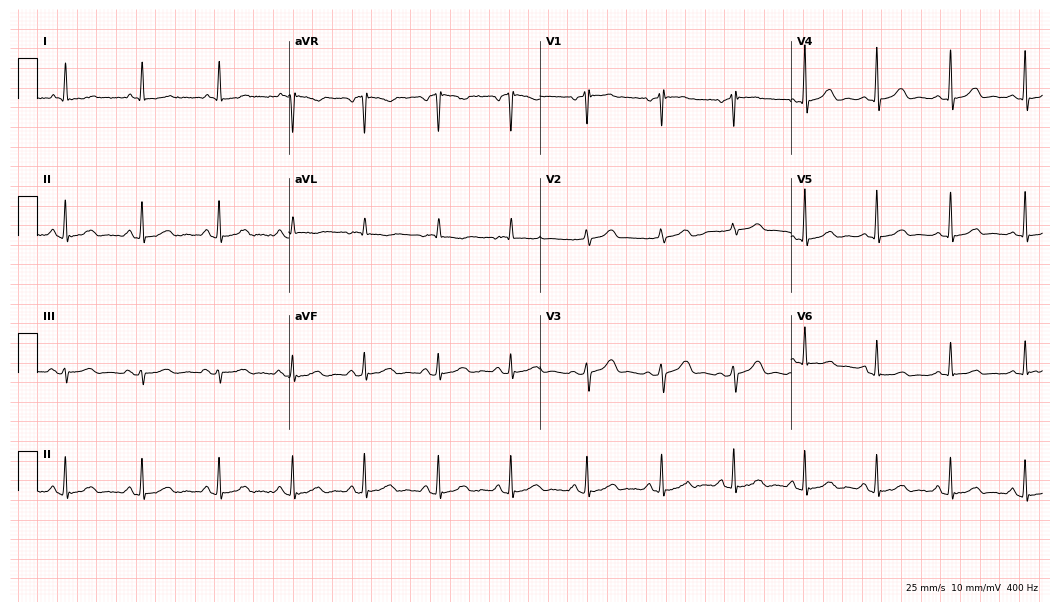
Standard 12-lead ECG recorded from a woman, 73 years old (10.2-second recording at 400 Hz). Read as a normal ECG.